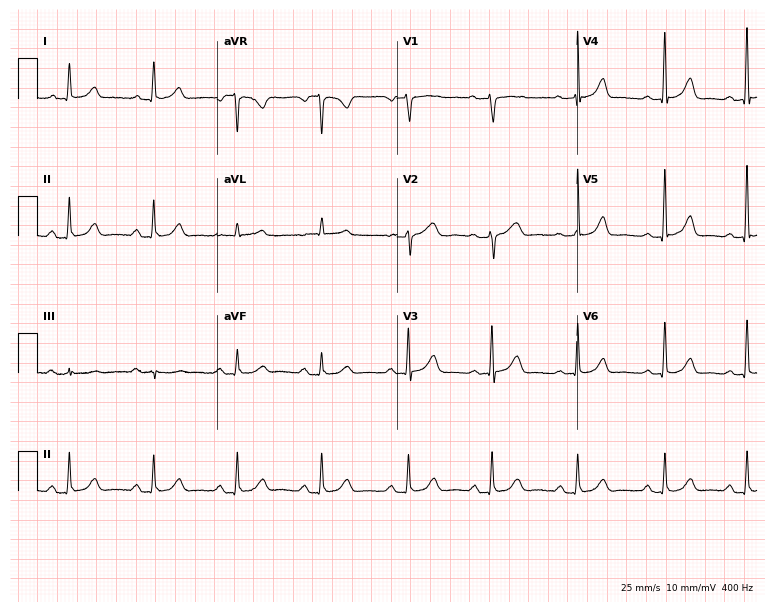
Electrocardiogram (7.3-second recording at 400 Hz), a female, 69 years old. Overall reading on record: normal ECG.